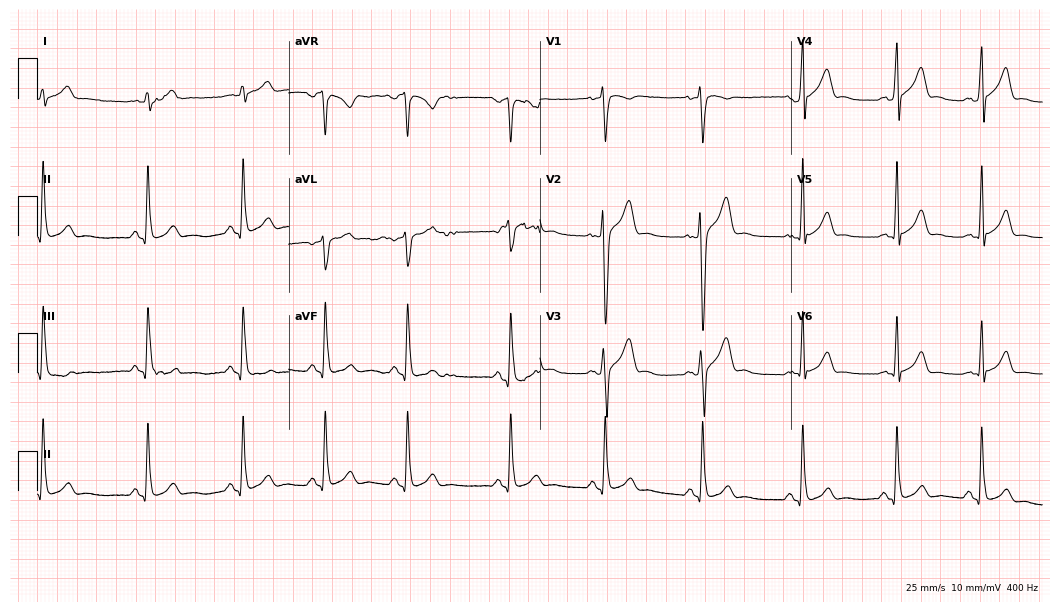
Standard 12-lead ECG recorded from a 19-year-old male (10.2-second recording at 400 Hz). None of these six findings is recorded: first-degree AV block, right bundle branch block (RBBB), left bundle branch block (LBBB), sinus bradycardia, atrial fibrillation (AF), sinus tachycardia.